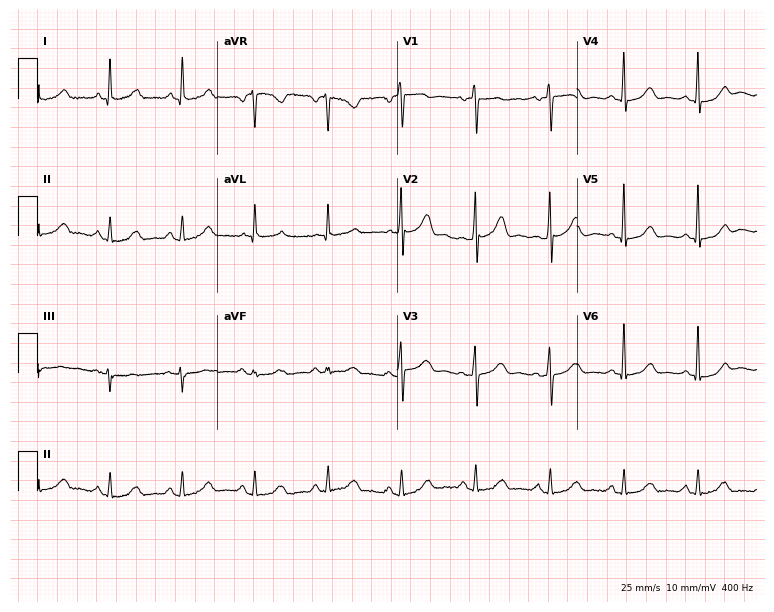
Standard 12-lead ECG recorded from a woman, 61 years old (7.3-second recording at 400 Hz). Read as a normal ECG.